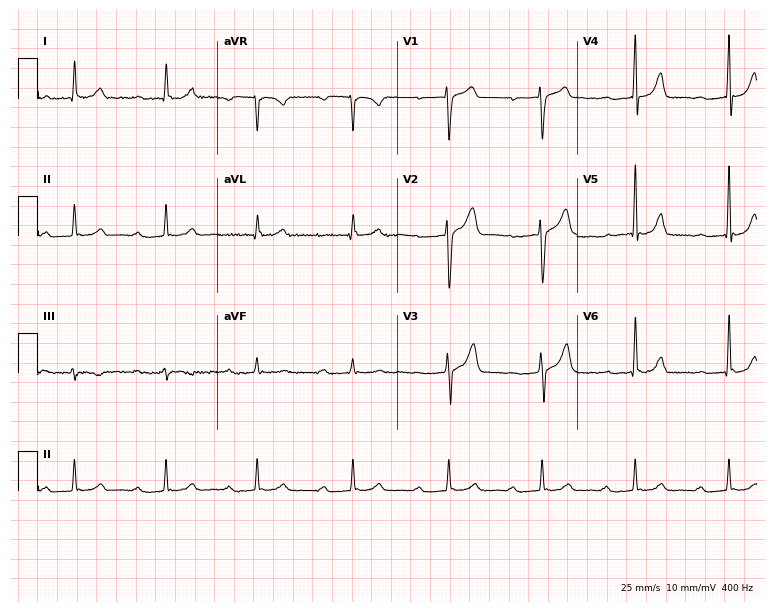
Electrocardiogram (7.3-second recording at 400 Hz), a male patient, 44 years old. Interpretation includes first-degree AV block.